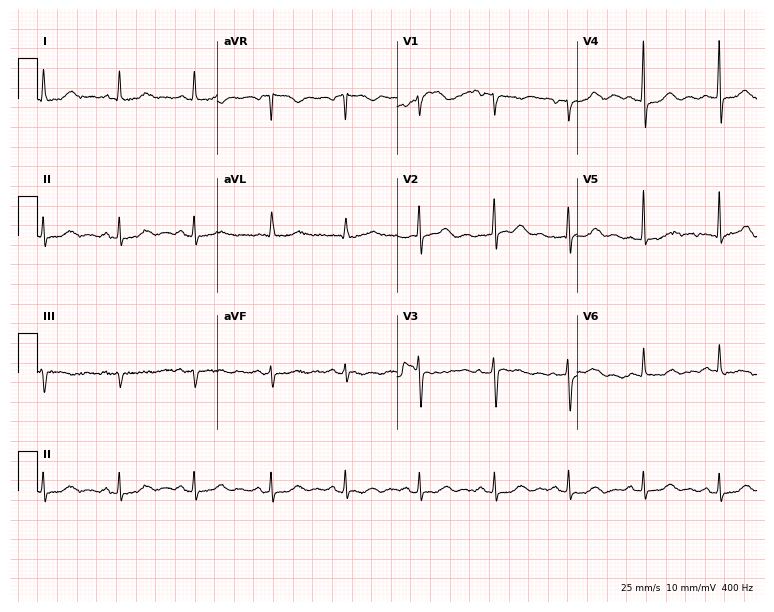
Electrocardiogram, a female patient, 75 years old. Of the six screened findings (first-degree AV block, right bundle branch block (RBBB), left bundle branch block (LBBB), sinus bradycardia, atrial fibrillation (AF), sinus tachycardia), none is recorded. Only these six findings were labelled.